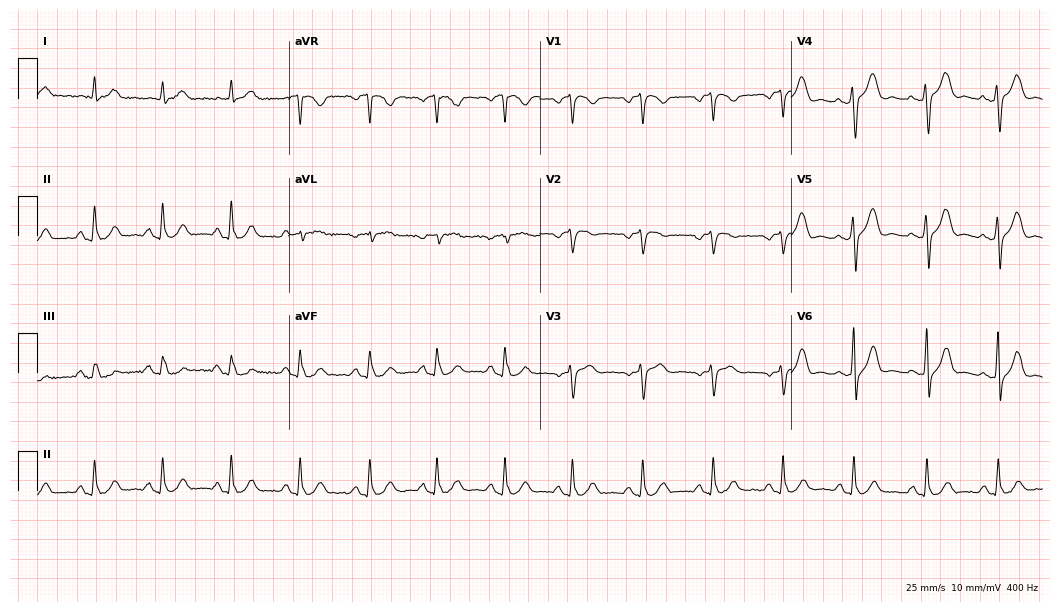
12-lead ECG from a male patient, 63 years old (10.2-second recording at 400 Hz). Recorded interpretation: within normal limits.